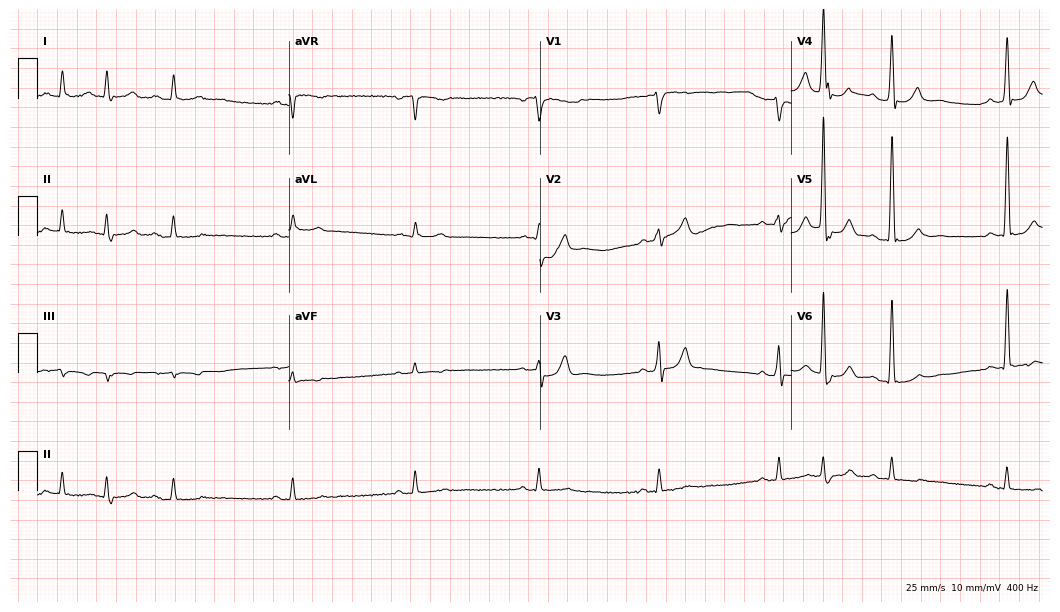
ECG — a 74-year-old male. Findings include sinus bradycardia (a sinus rate of 50 beats per minute or less).